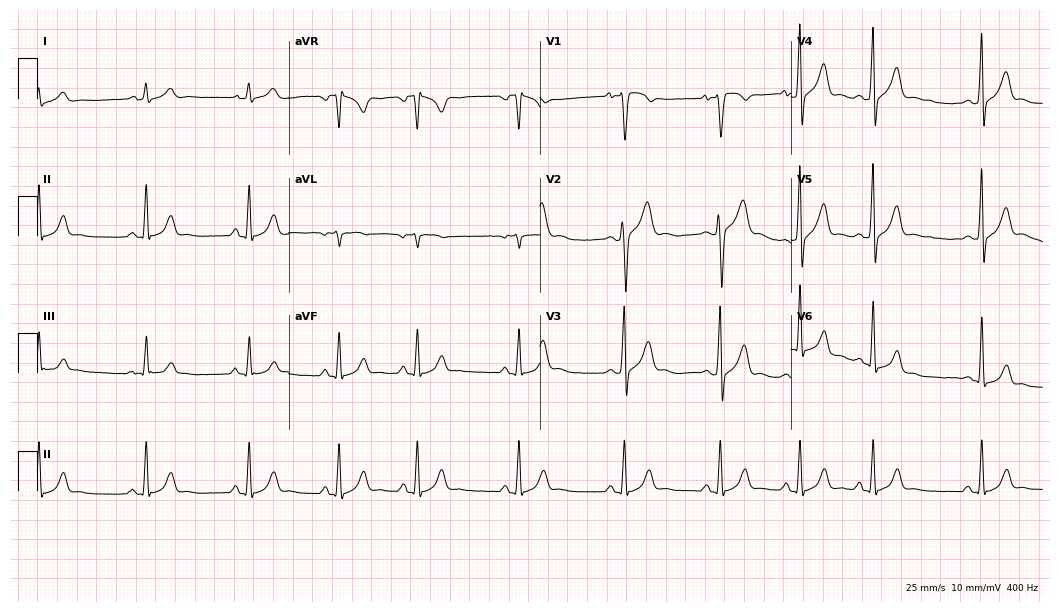
12-lead ECG from a 19-year-old male. Labelled as a normal ECG.